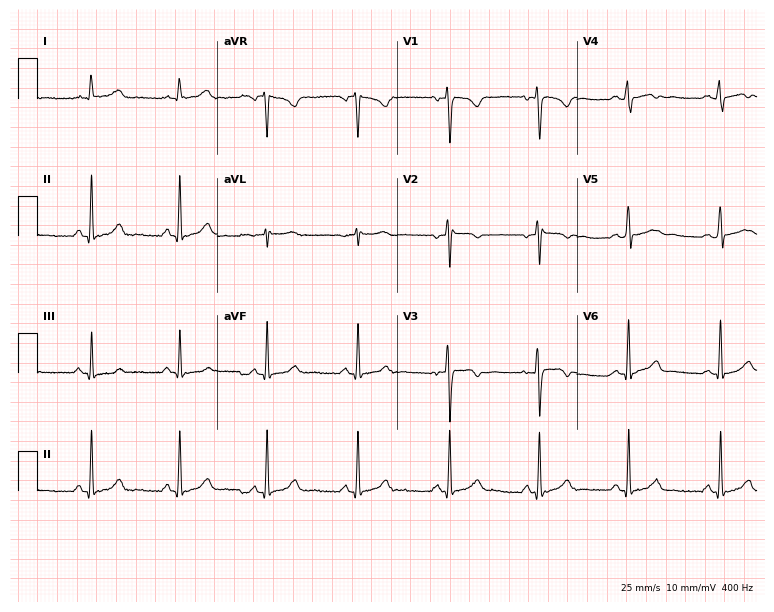
Standard 12-lead ECG recorded from a 34-year-old female patient. None of these six findings is recorded: first-degree AV block, right bundle branch block (RBBB), left bundle branch block (LBBB), sinus bradycardia, atrial fibrillation (AF), sinus tachycardia.